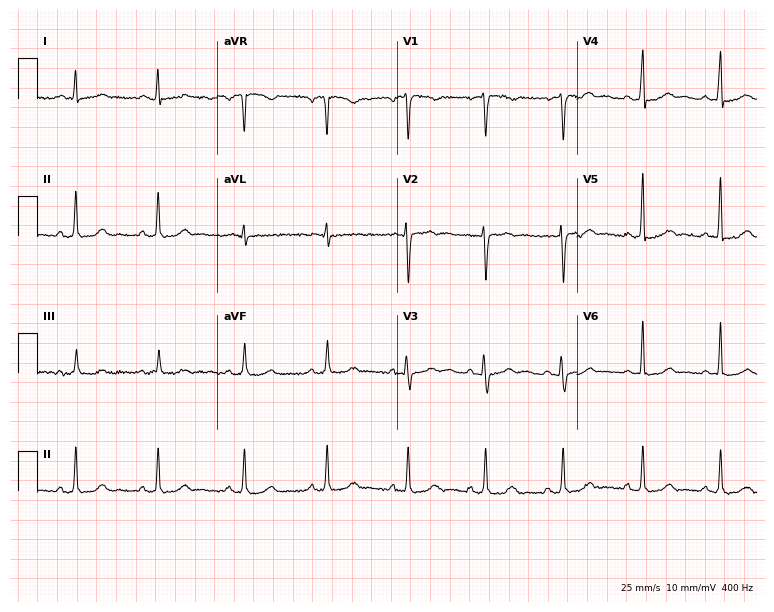
Standard 12-lead ECG recorded from a 36-year-old female patient. None of these six findings is recorded: first-degree AV block, right bundle branch block, left bundle branch block, sinus bradycardia, atrial fibrillation, sinus tachycardia.